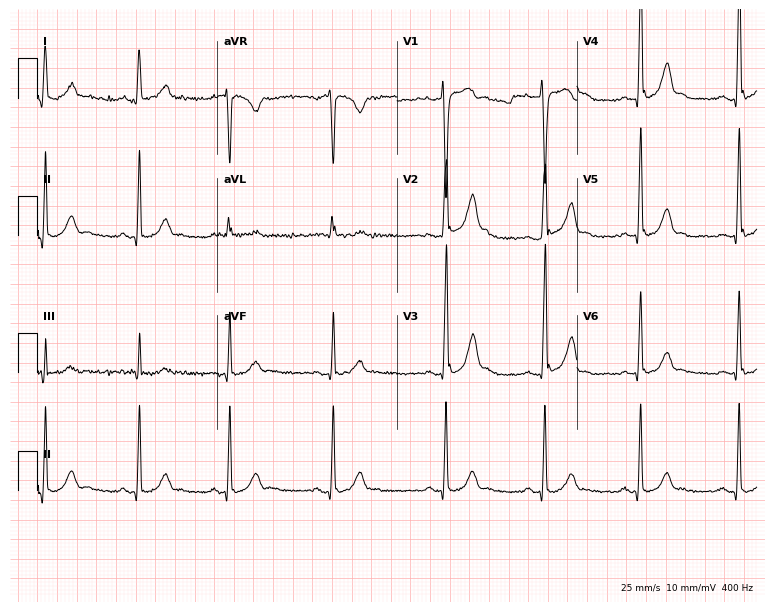
12-lead ECG from a male, 36 years old. Screened for six findings — first-degree AV block, right bundle branch block, left bundle branch block, sinus bradycardia, atrial fibrillation, sinus tachycardia — none is recorded. Only these six findings were labelled.